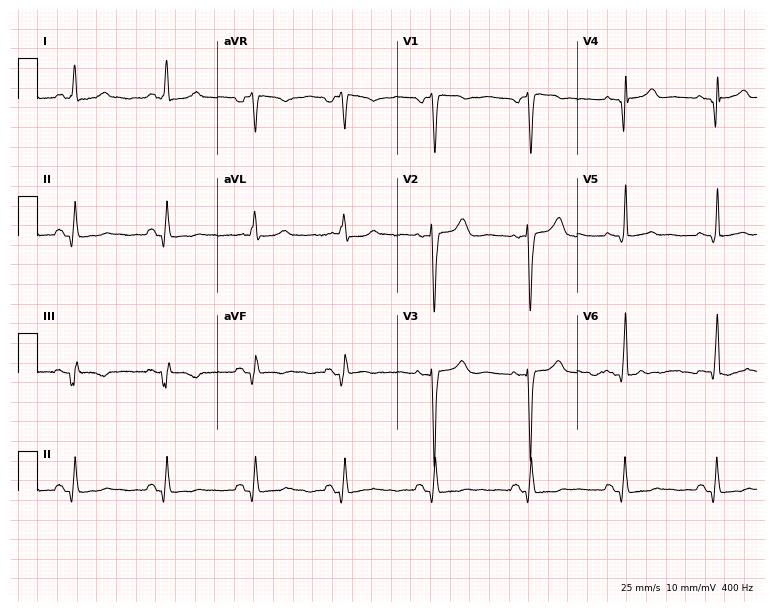
Resting 12-lead electrocardiogram (7.3-second recording at 400 Hz). Patient: a 55-year-old man. None of these six findings is recorded: first-degree AV block, right bundle branch block, left bundle branch block, sinus bradycardia, atrial fibrillation, sinus tachycardia. Findings outside these six are not listed.